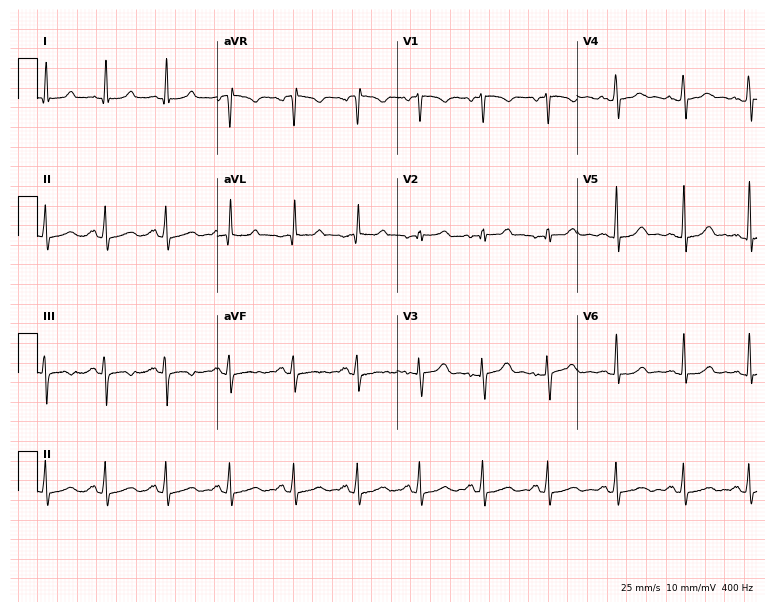
12-lead ECG from a female, 38 years old. Recorded interpretation: within normal limits.